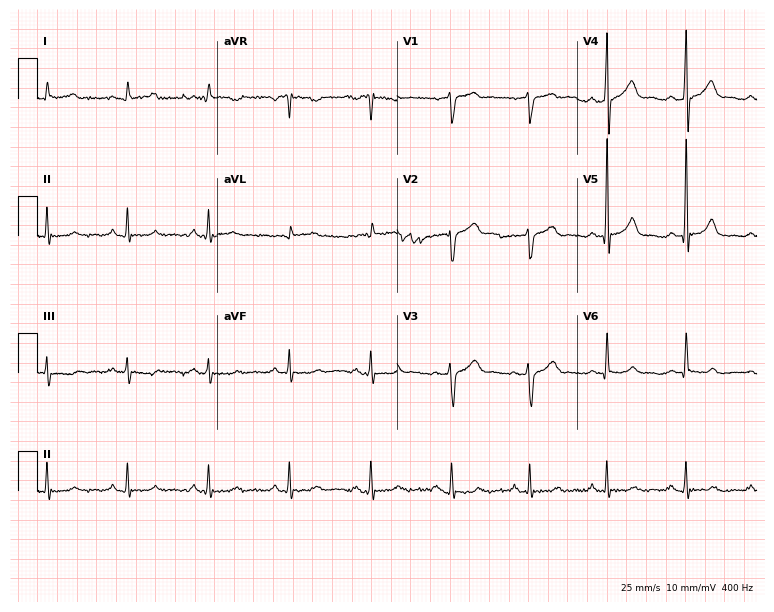
ECG (7.3-second recording at 400 Hz) — a male patient, 57 years old. Screened for six findings — first-degree AV block, right bundle branch block, left bundle branch block, sinus bradycardia, atrial fibrillation, sinus tachycardia — none is recorded. Other findings, if any, are not listed.